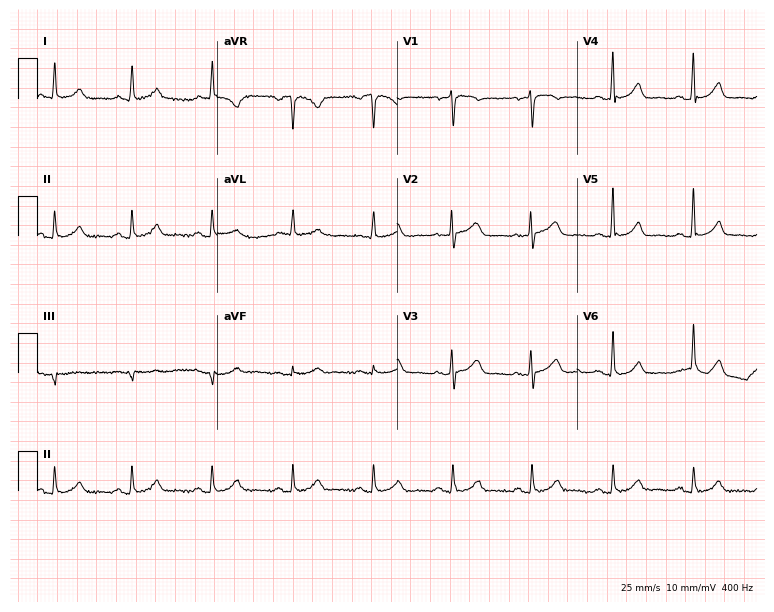
Electrocardiogram (7.3-second recording at 400 Hz), a woman, 65 years old. Overall reading on record: normal ECG.